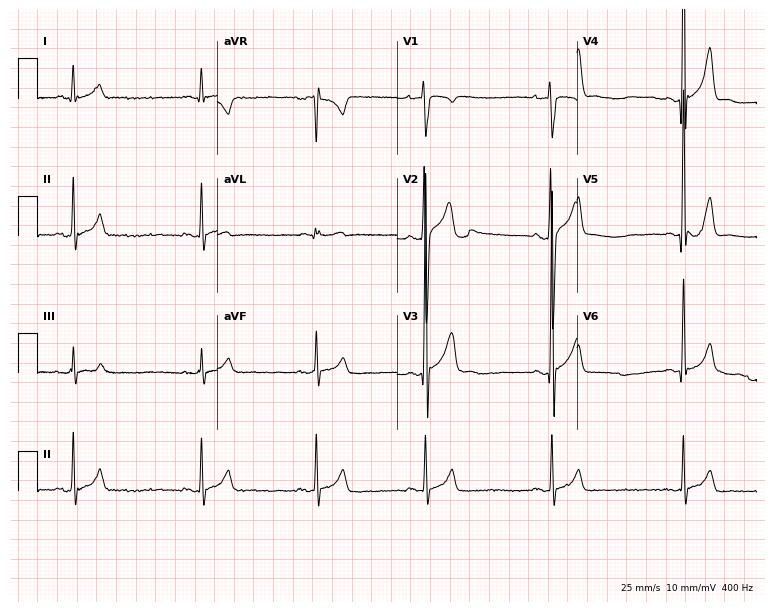
12-lead ECG (7.3-second recording at 400 Hz) from an 18-year-old man. Screened for six findings — first-degree AV block, right bundle branch block, left bundle branch block, sinus bradycardia, atrial fibrillation, sinus tachycardia — none is recorded. Findings outside these six are not listed.